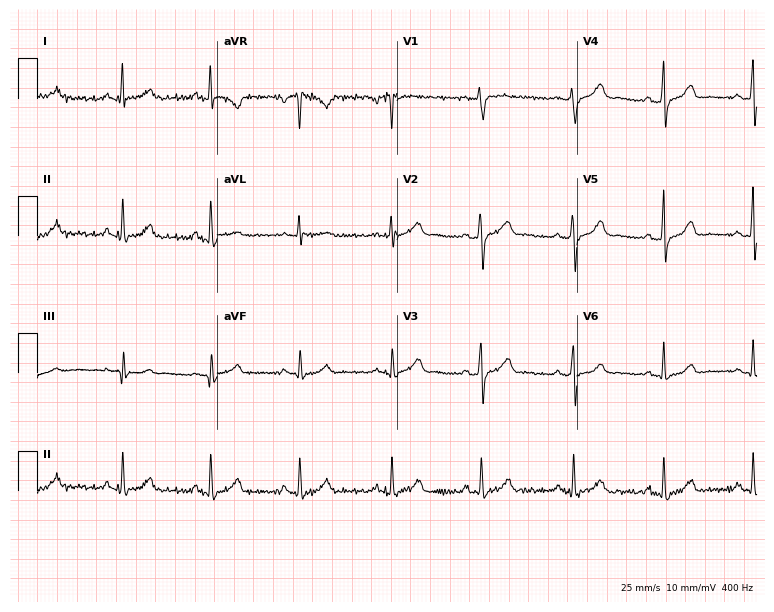
12-lead ECG from a woman, 35 years old. Labelled as a normal ECG.